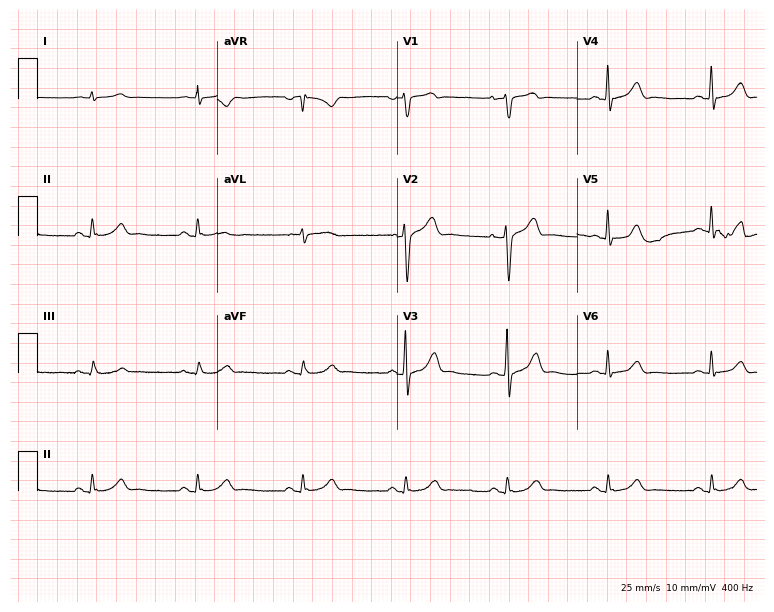
Electrocardiogram, a 37-year-old male. Overall reading on record: normal ECG.